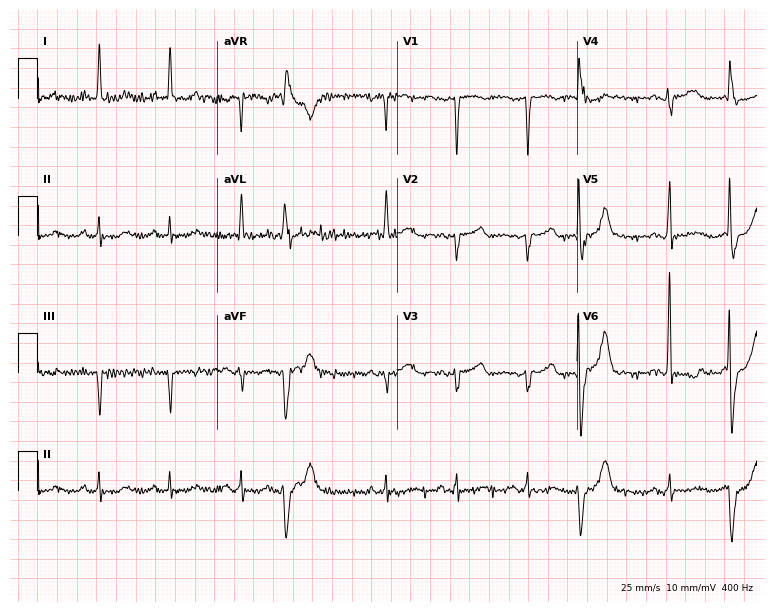
Electrocardiogram (7.3-second recording at 400 Hz), a 77-year-old female. Of the six screened findings (first-degree AV block, right bundle branch block (RBBB), left bundle branch block (LBBB), sinus bradycardia, atrial fibrillation (AF), sinus tachycardia), none is recorded.